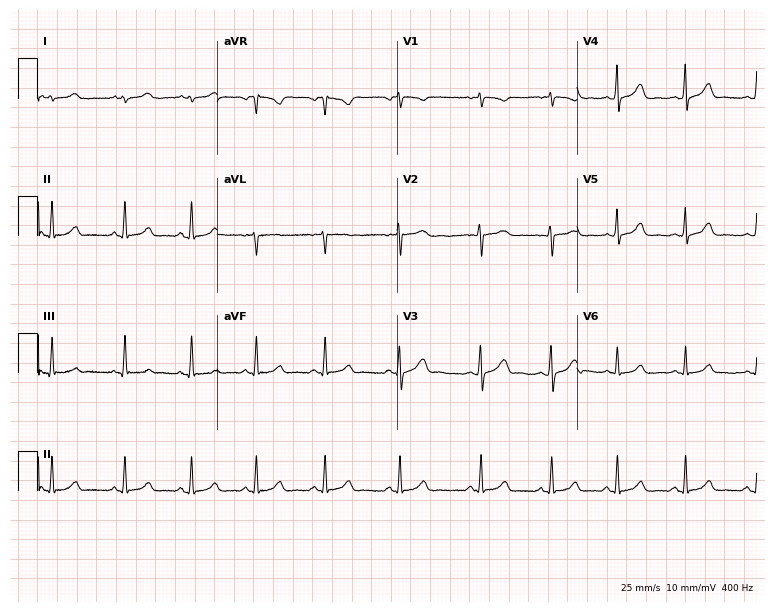
Electrocardiogram, a 20-year-old female patient. Overall reading on record: normal ECG.